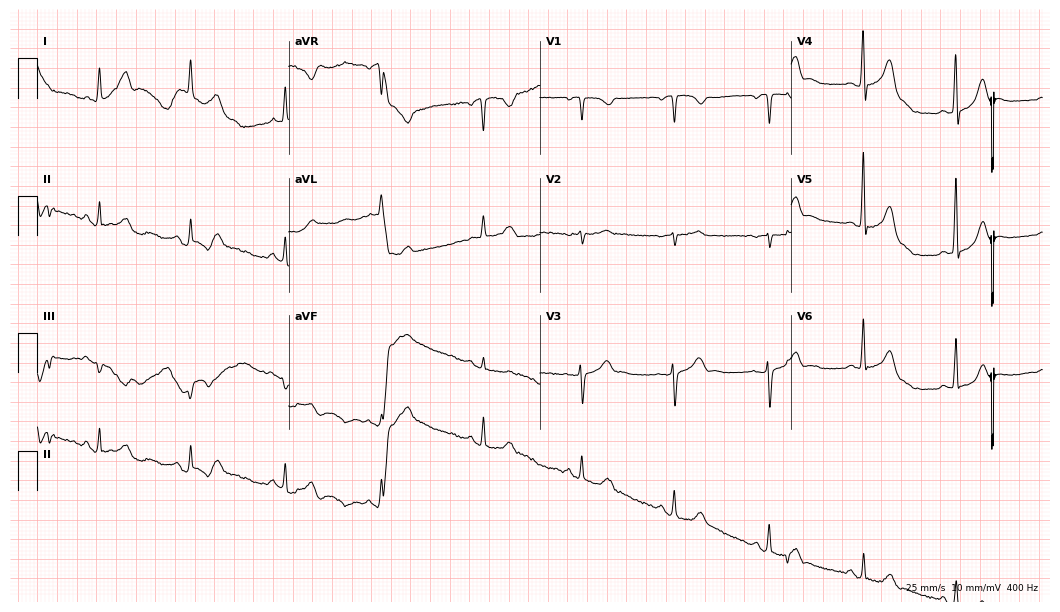
Electrocardiogram, a 46-year-old female. Of the six screened findings (first-degree AV block, right bundle branch block (RBBB), left bundle branch block (LBBB), sinus bradycardia, atrial fibrillation (AF), sinus tachycardia), none is recorded.